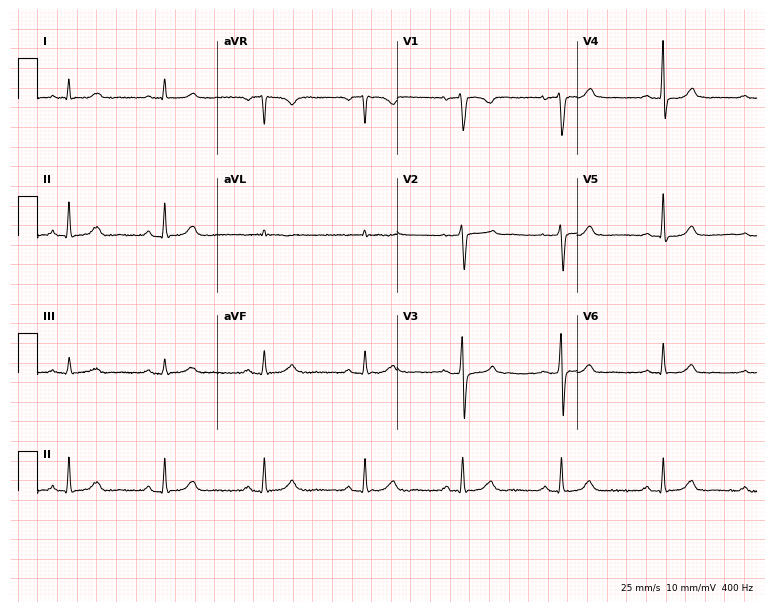
ECG (7.3-second recording at 400 Hz) — a 49-year-old female. Screened for six findings — first-degree AV block, right bundle branch block (RBBB), left bundle branch block (LBBB), sinus bradycardia, atrial fibrillation (AF), sinus tachycardia — none is recorded. Other findings, if any, are not listed.